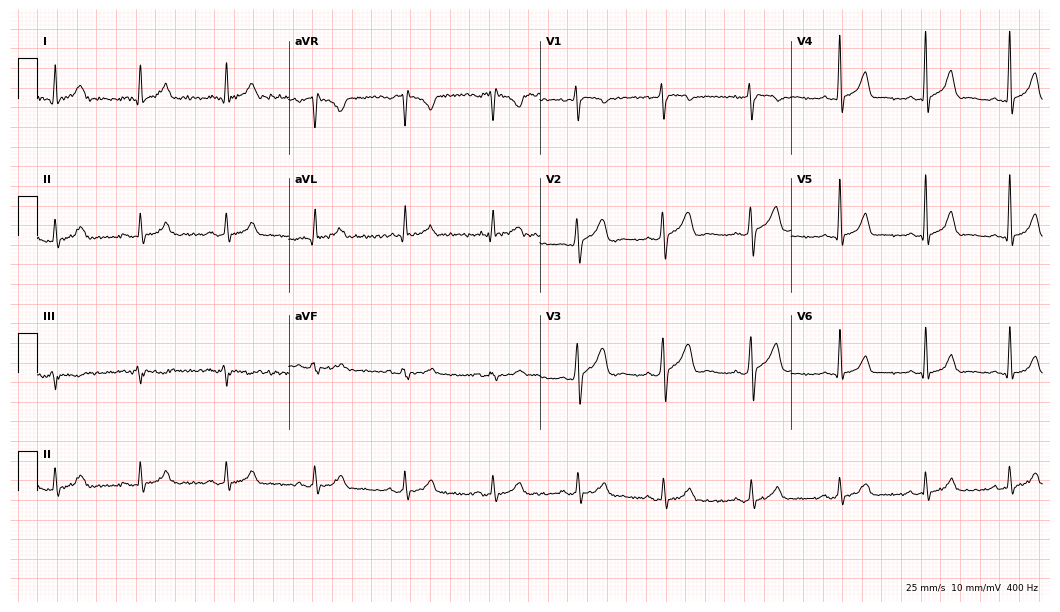
Standard 12-lead ECG recorded from a man, 30 years old (10.2-second recording at 400 Hz). None of these six findings is recorded: first-degree AV block, right bundle branch block, left bundle branch block, sinus bradycardia, atrial fibrillation, sinus tachycardia.